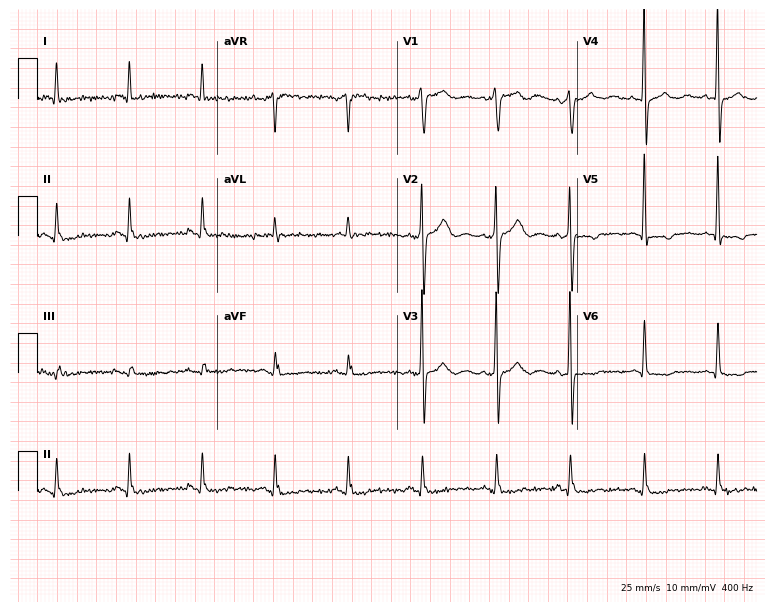
Electrocardiogram, a 69-year-old man. Overall reading on record: normal ECG.